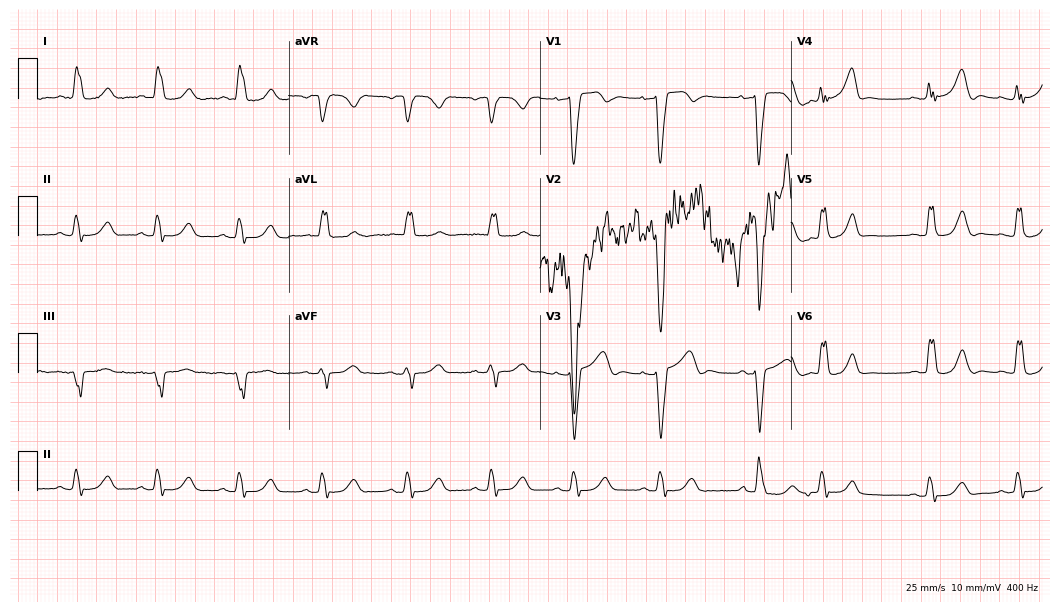
Resting 12-lead electrocardiogram (10.2-second recording at 400 Hz). Patient: a woman, 78 years old. The tracing shows left bundle branch block (LBBB).